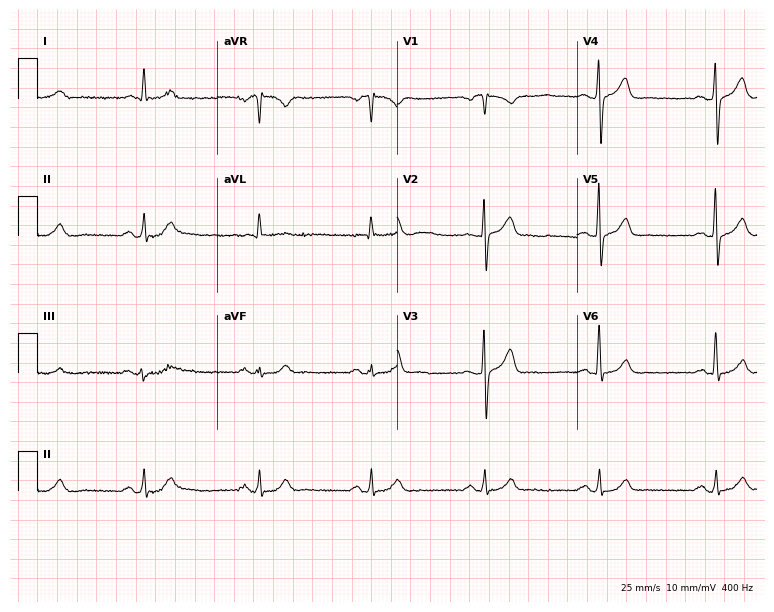
Standard 12-lead ECG recorded from a 72-year-old man. Read as a normal ECG.